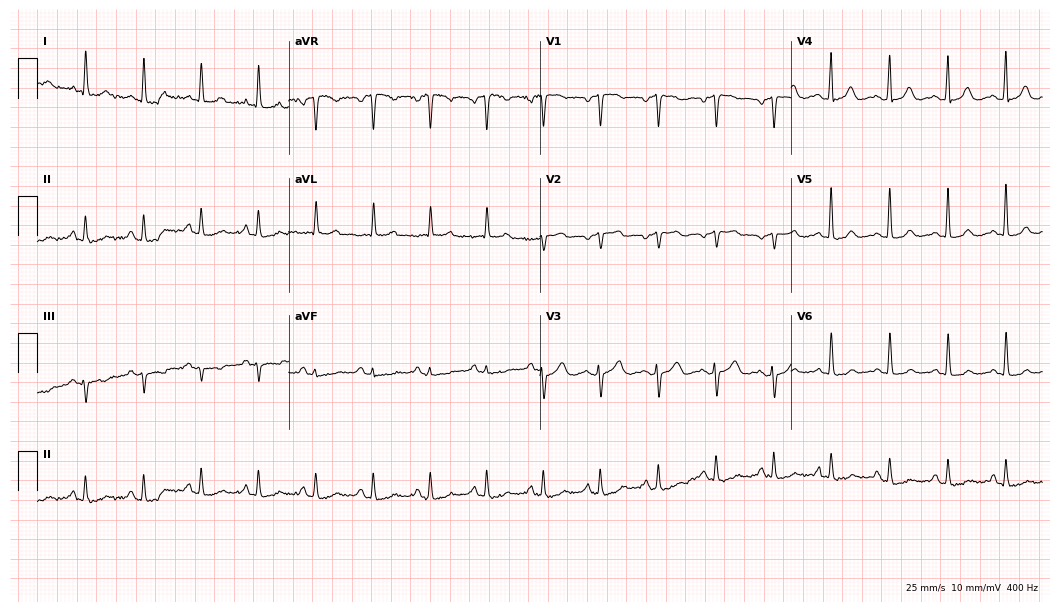
Standard 12-lead ECG recorded from a female patient, 66 years old. The tracing shows sinus tachycardia (a sinus rate of 100 beats per minute or more).